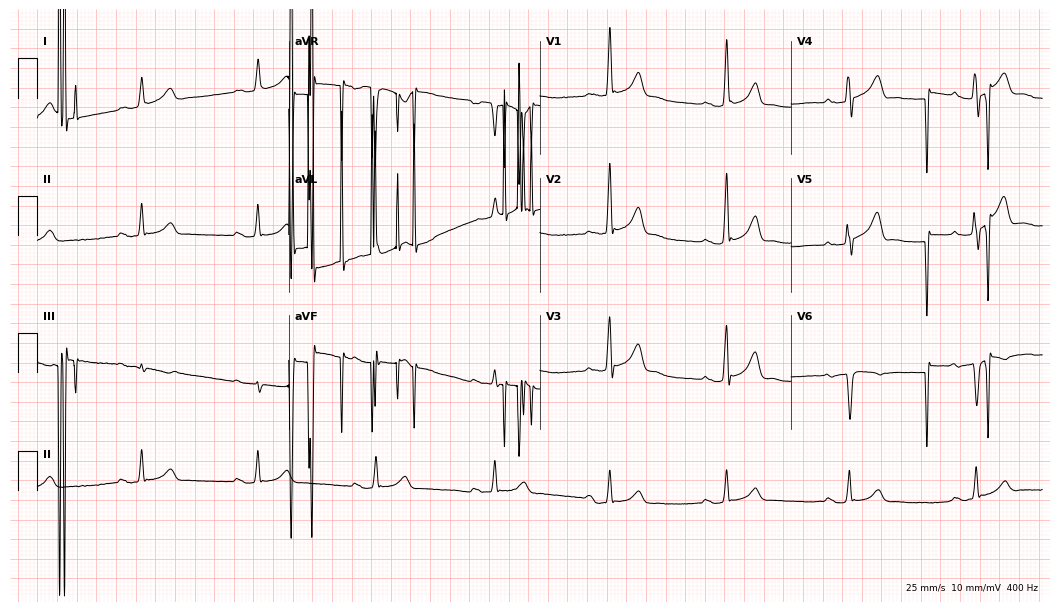
Standard 12-lead ECG recorded from a male patient, 54 years old (10.2-second recording at 400 Hz). None of these six findings is recorded: first-degree AV block, right bundle branch block, left bundle branch block, sinus bradycardia, atrial fibrillation, sinus tachycardia. Findings outside these six are not listed.